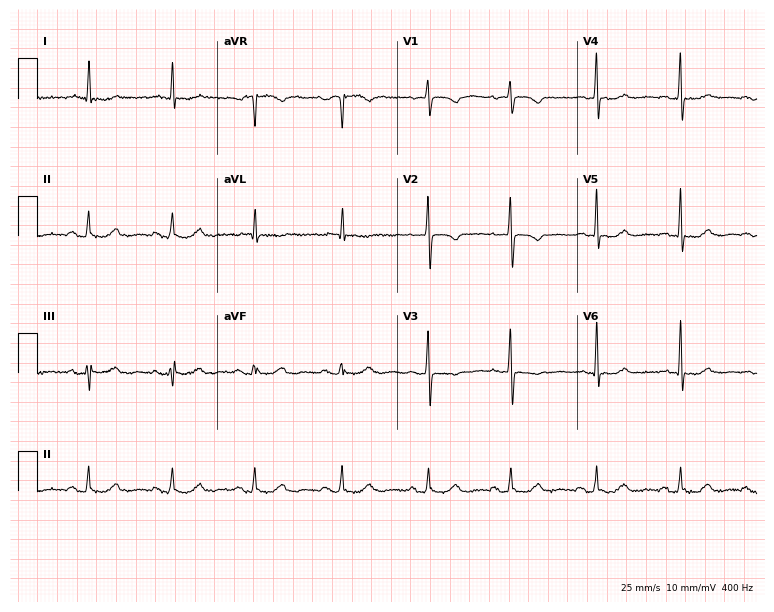
12-lead ECG from a 63-year-old female patient. No first-degree AV block, right bundle branch block, left bundle branch block, sinus bradycardia, atrial fibrillation or sinus tachycardia recorded for this tracing. Only these six findings were labelled.